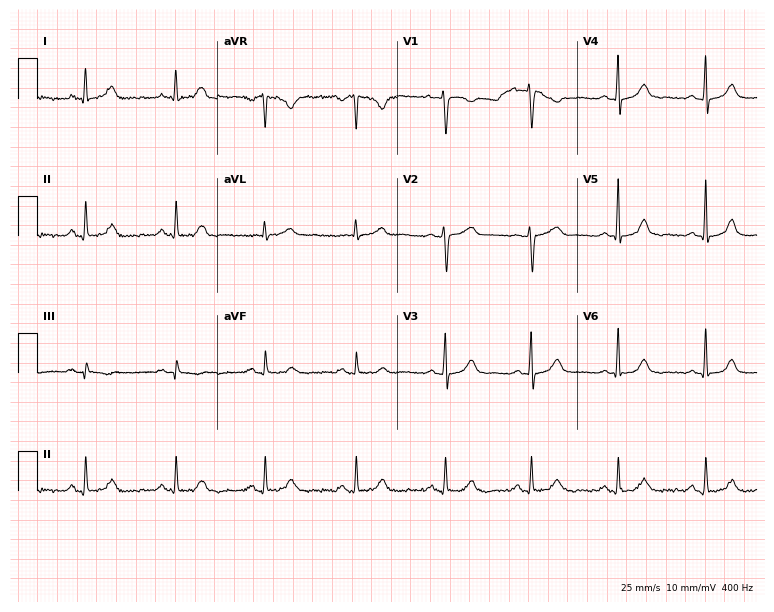
12-lead ECG (7.3-second recording at 400 Hz) from a 47-year-old female patient. Labelled as a normal ECG.